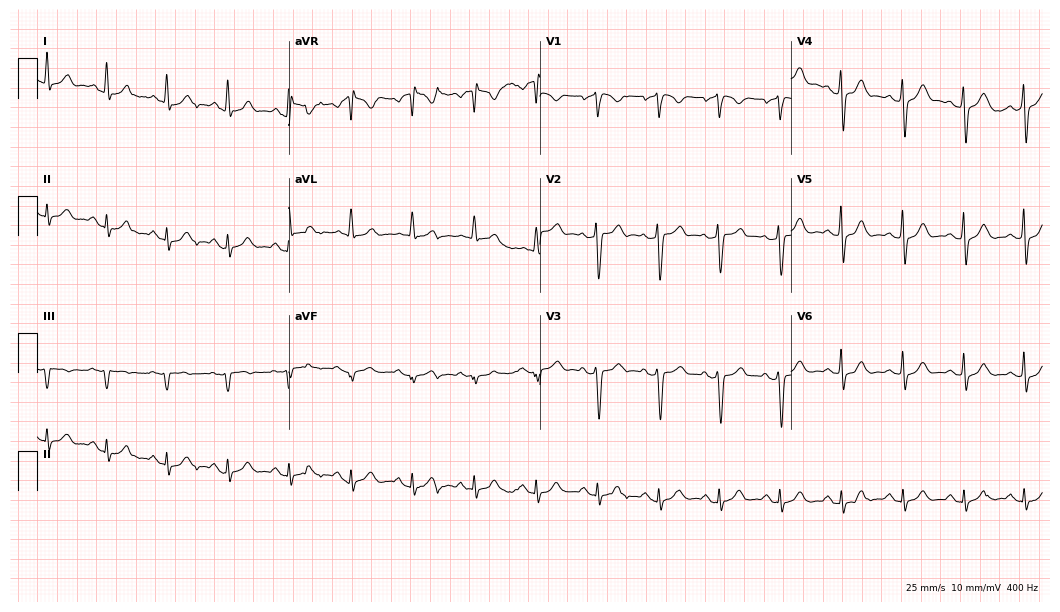
12-lead ECG (10.2-second recording at 400 Hz) from a 32-year-old male. Labelled as a normal ECG.